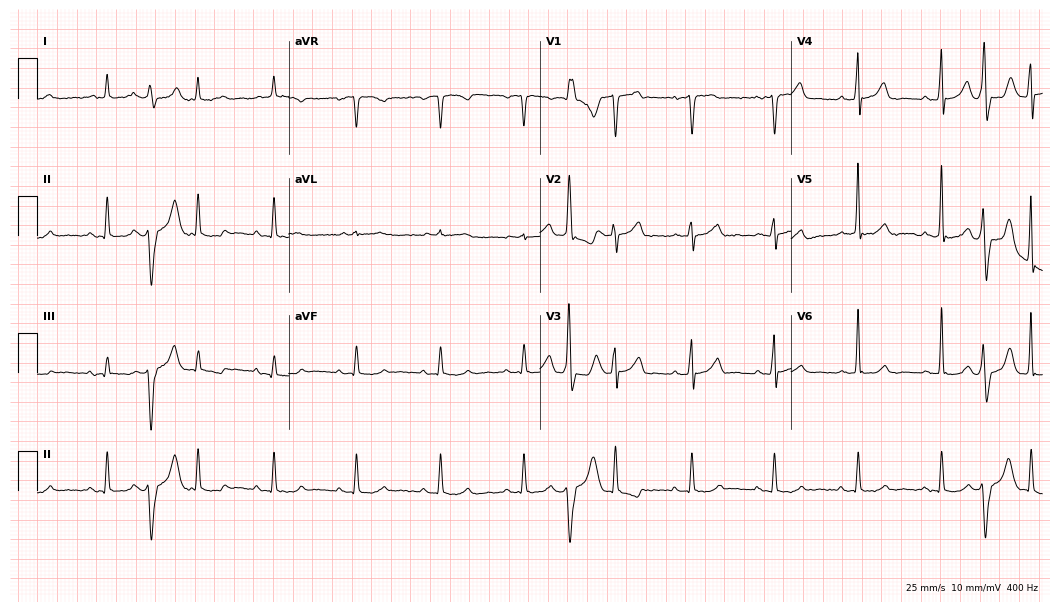
Resting 12-lead electrocardiogram. Patient: a 79-year-old man. None of these six findings is recorded: first-degree AV block, right bundle branch block (RBBB), left bundle branch block (LBBB), sinus bradycardia, atrial fibrillation (AF), sinus tachycardia. Findings outside these six are not listed.